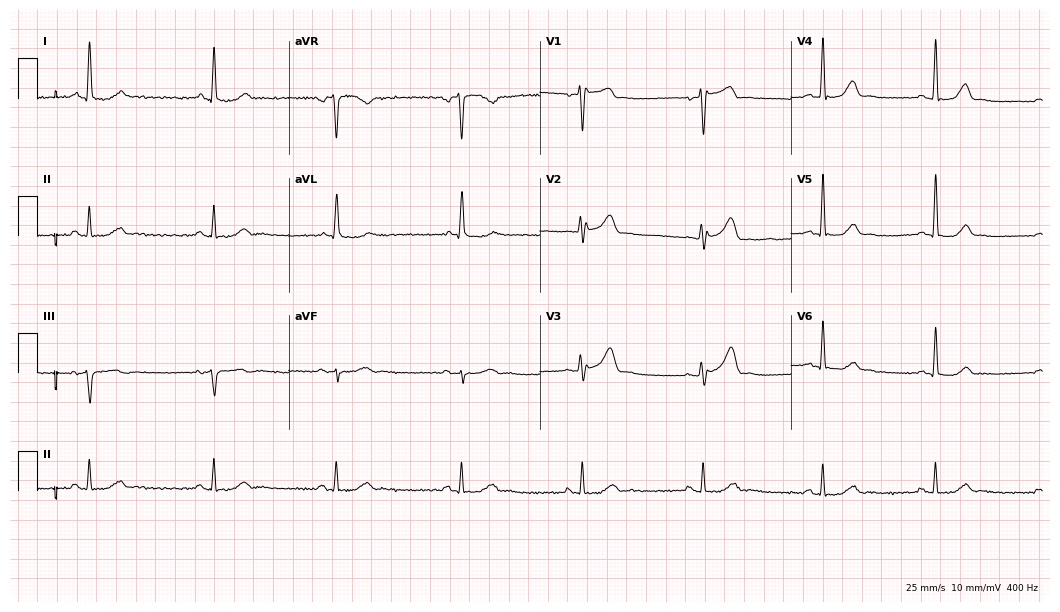
Standard 12-lead ECG recorded from a 73-year-old female (10.2-second recording at 400 Hz). The tracing shows sinus bradycardia (a sinus rate of 50 beats per minute or less).